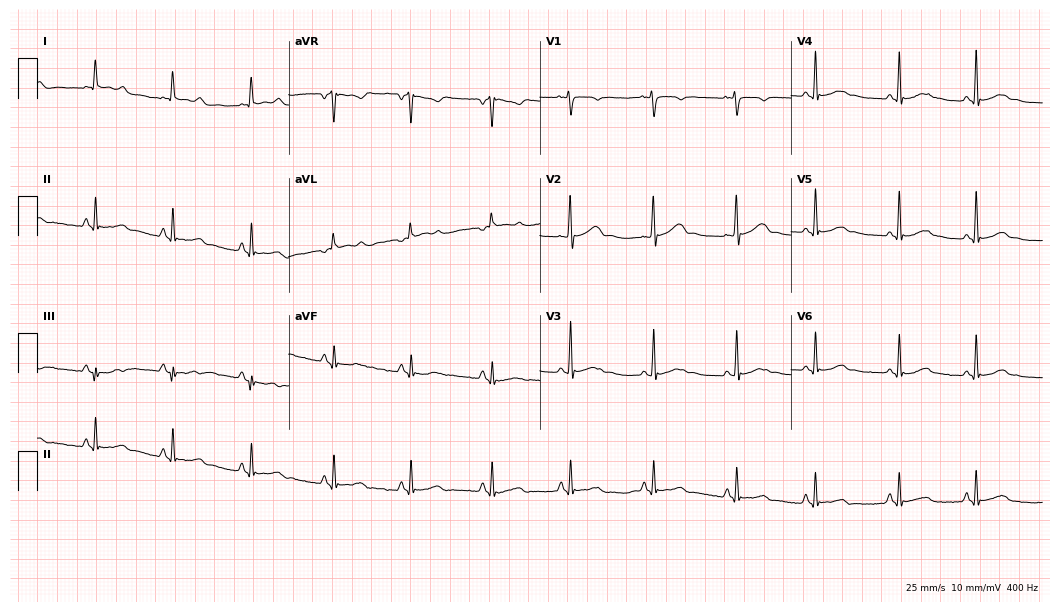
Standard 12-lead ECG recorded from a 23-year-old female patient. Read as a normal ECG.